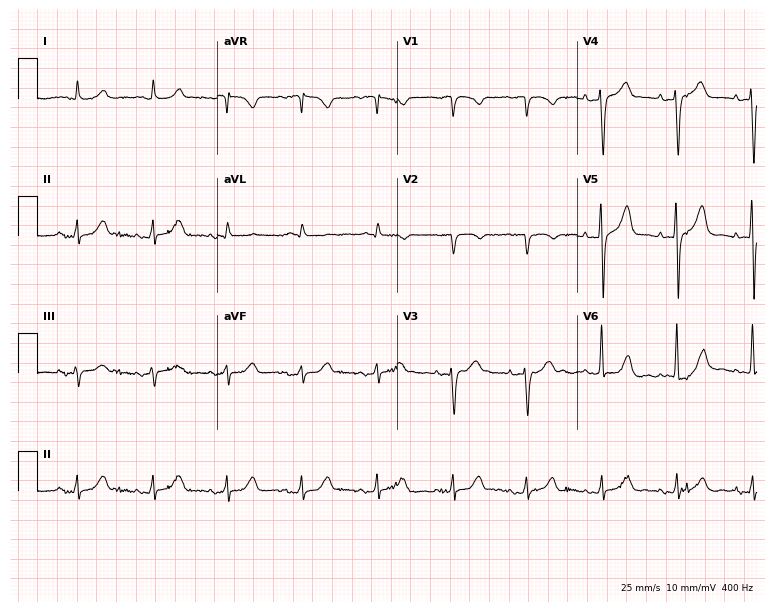
Electrocardiogram, an 80-year-old male patient. Of the six screened findings (first-degree AV block, right bundle branch block, left bundle branch block, sinus bradycardia, atrial fibrillation, sinus tachycardia), none is recorded. Other findings, if any, are not listed.